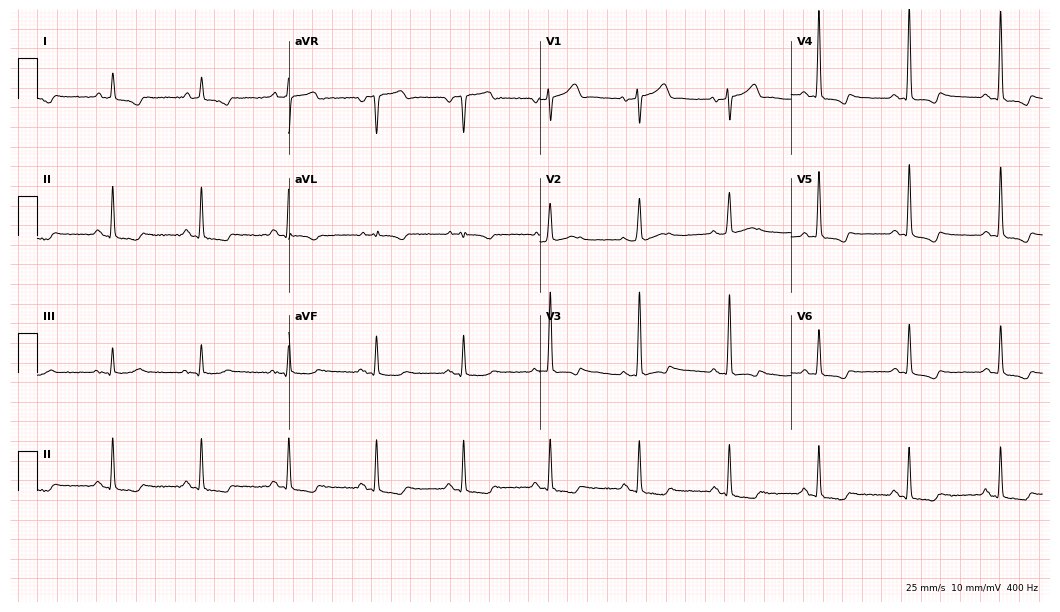
ECG (10.2-second recording at 400 Hz) — a 67-year-old male. Screened for six findings — first-degree AV block, right bundle branch block, left bundle branch block, sinus bradycardia, atrial fibrillation, sinus tachycardia — none is recorded.